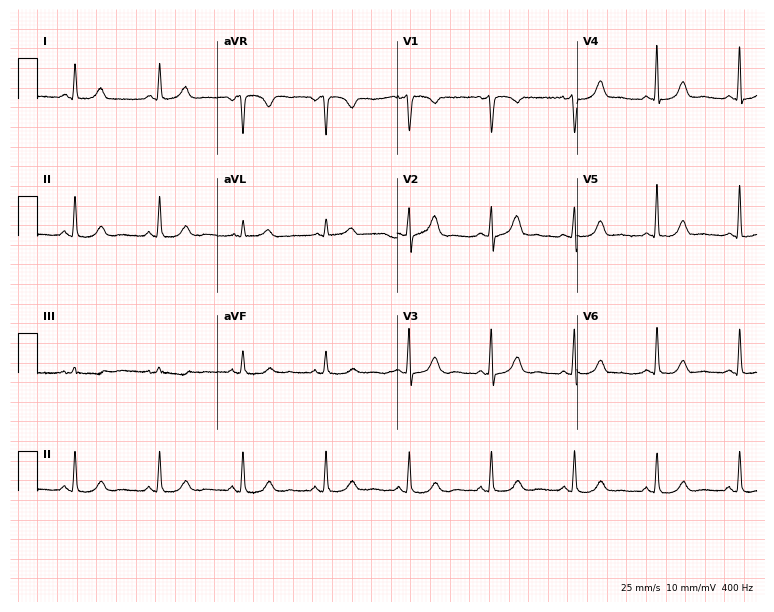
Resting 12-lead electrocardiogram (7.3-second recording at 400 Hz). Patient: a woman, 44 years old. Read as a normal ECG.